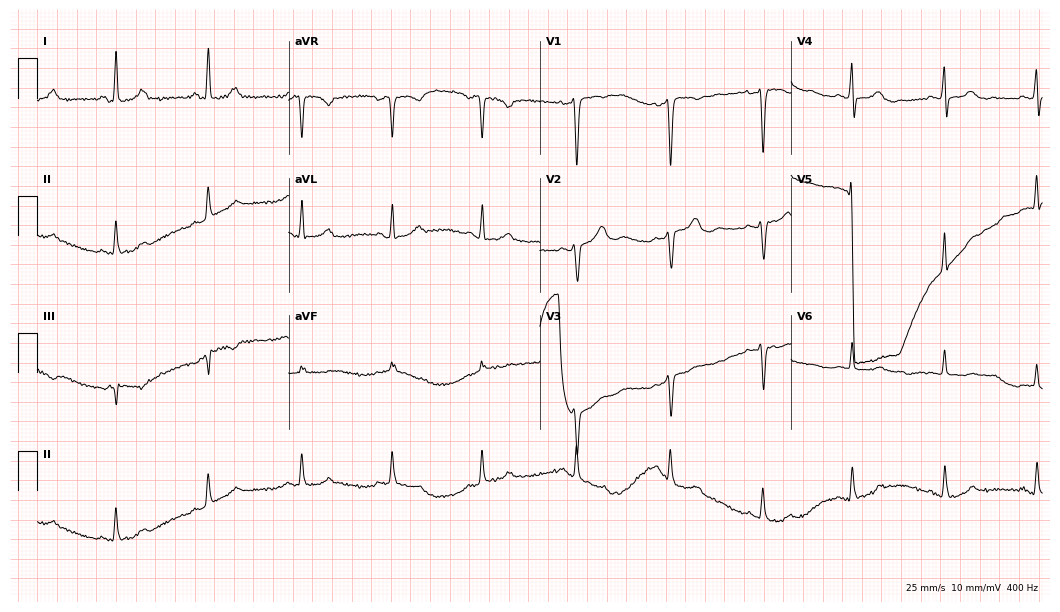
12-lead ECG from a female patient, 46 years old (10.2-second recording at 400 Hz). Recorded interpretation: within normal limits.